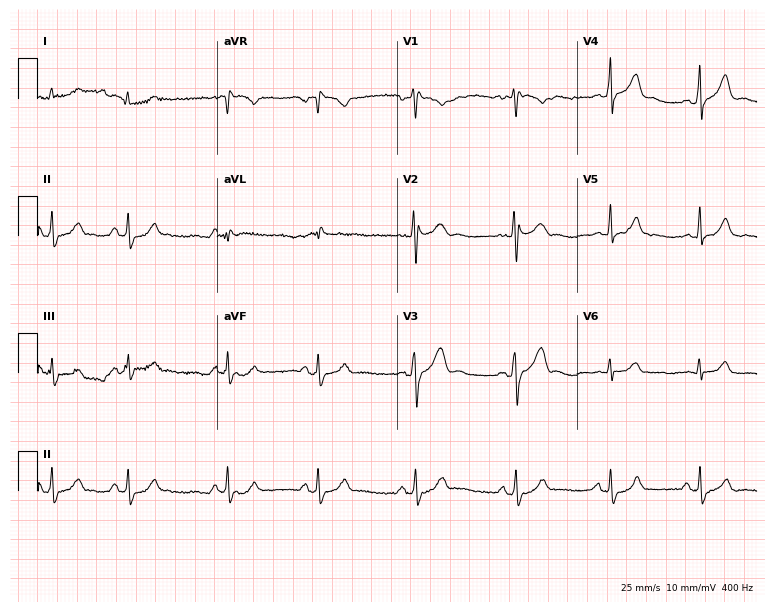
ECG — a male patient, 35 years old. Screened for six findings — first-degree AV block, right bundle branch block, left bundle branch block, sinus bradycardia, atrial fibrillation, sinus tachycardia — none is recorded. Other findings, if any, are not listed.